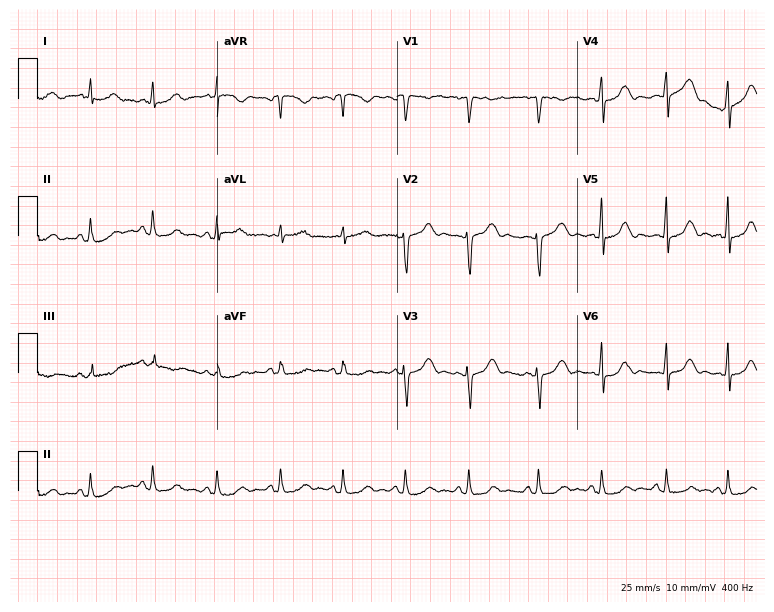
Resting 12-lead electrocardiogram (7.3-second recording at 400 Hz). Patient: a woman, 52 years old. Read as a normal ECG.